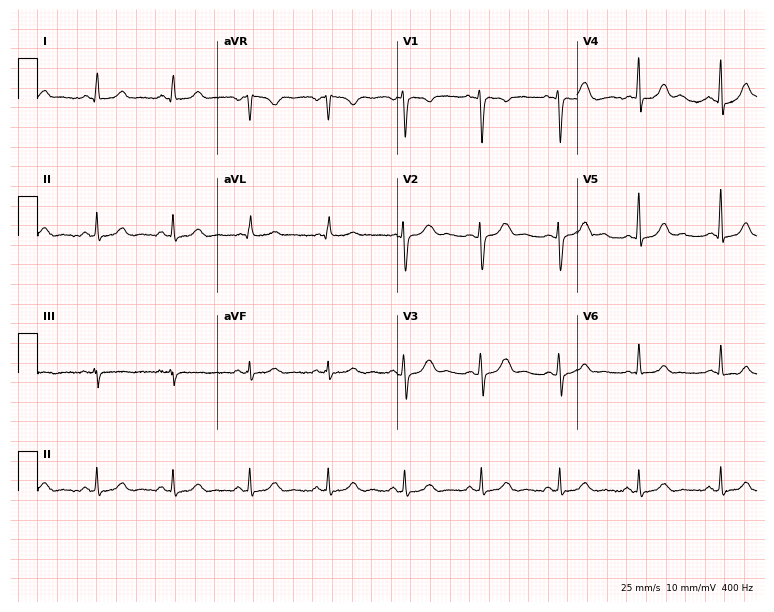
12-lead ECG from a woman, 34 years old. No first-degree AV block, right bundle branch block (RBBB), left bundle branch block (LBBB), sinus bradycardia, atrial fibrillation (AF) or sinus tachycardia recorded for this tracing.